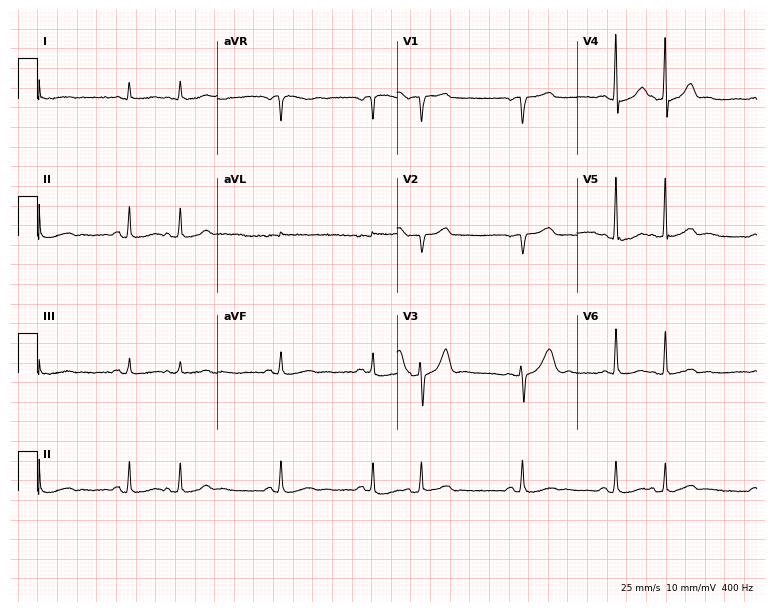
Resting 12-lead electrocardiogram (7.3-second recording at 400 Hz). Patient: a man, 60 years old. None of these six findings is recorded: first-degree AV block, right bundle branch block, left bundle branch block, sinus bradycardia, atrial fibrillation, sinus tachycardia.